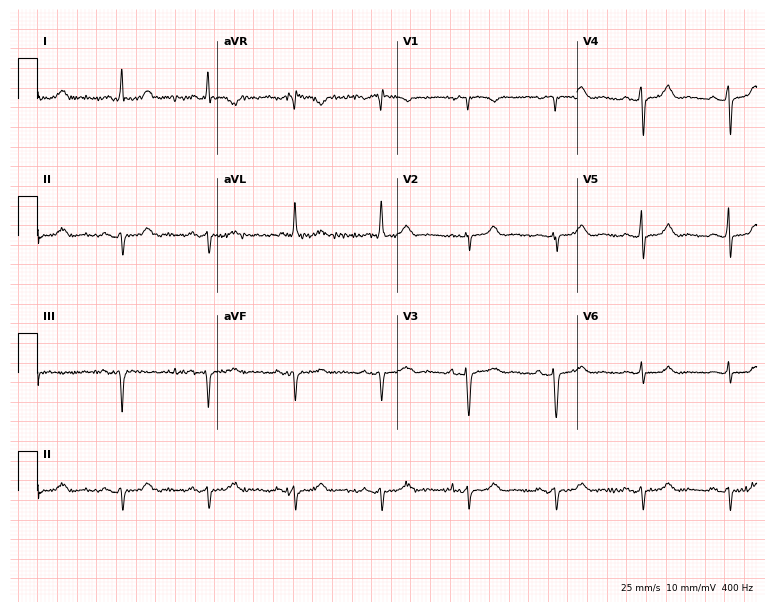
Resting 12-lead electrocardiogram (7.3-second recording at 400 Hz). Patient: a 78-year-old male. None of these six findings is recorded: first-degree AV block, right bundle branch block, left bundle branch block, sinus bradycardia, atrial fibrillation, sinus tachycardia.